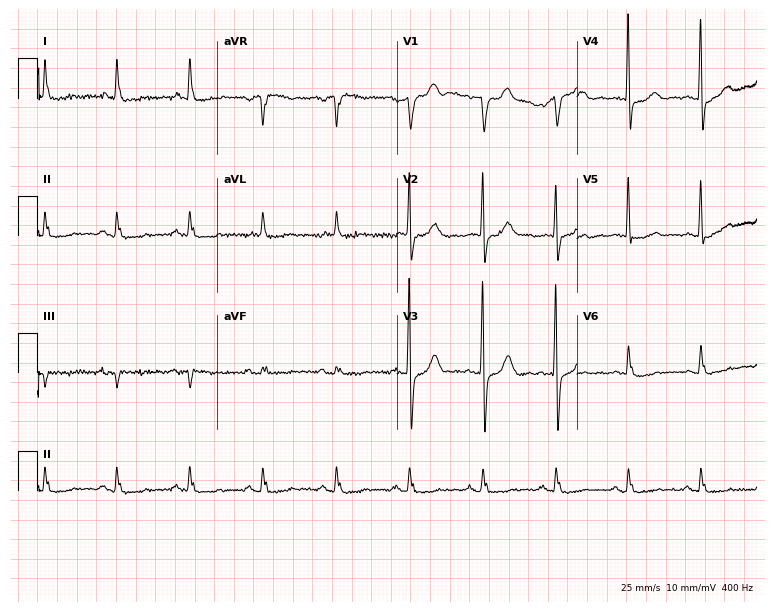
12-lead ECG from a male patient, 70 years old (7.3-second recording at 400 Hz). Recorded interpretation: within normal limits.